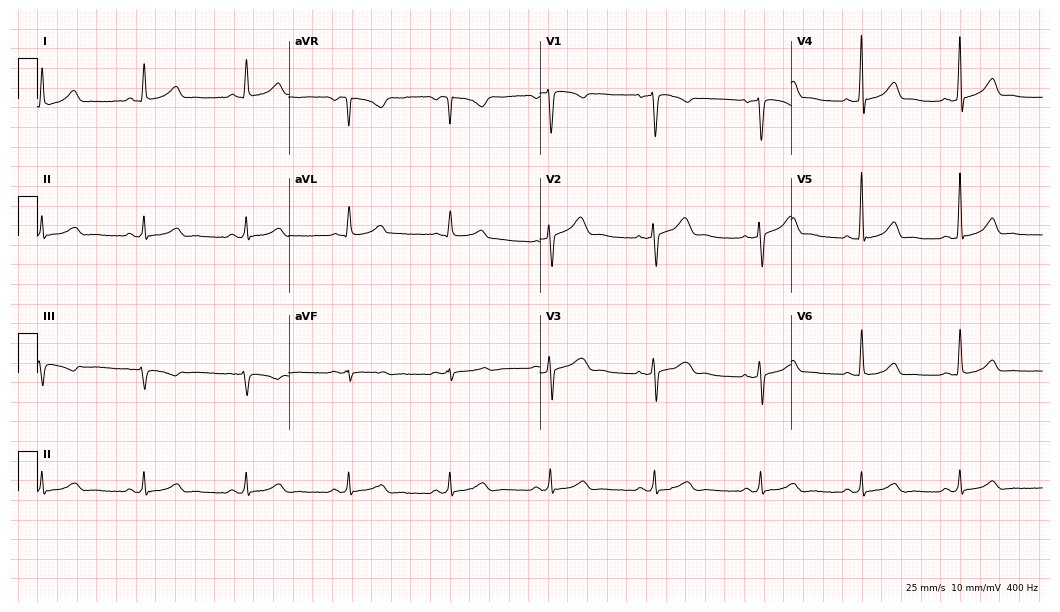
Electrocardiogram, a 56-year-old female. Of the six screened findings (first-degree AV block, right bundle branch block, left bundle branch block, sinus bradycardia, atrial fibrillation, sinus tachycardia), none is recorded.